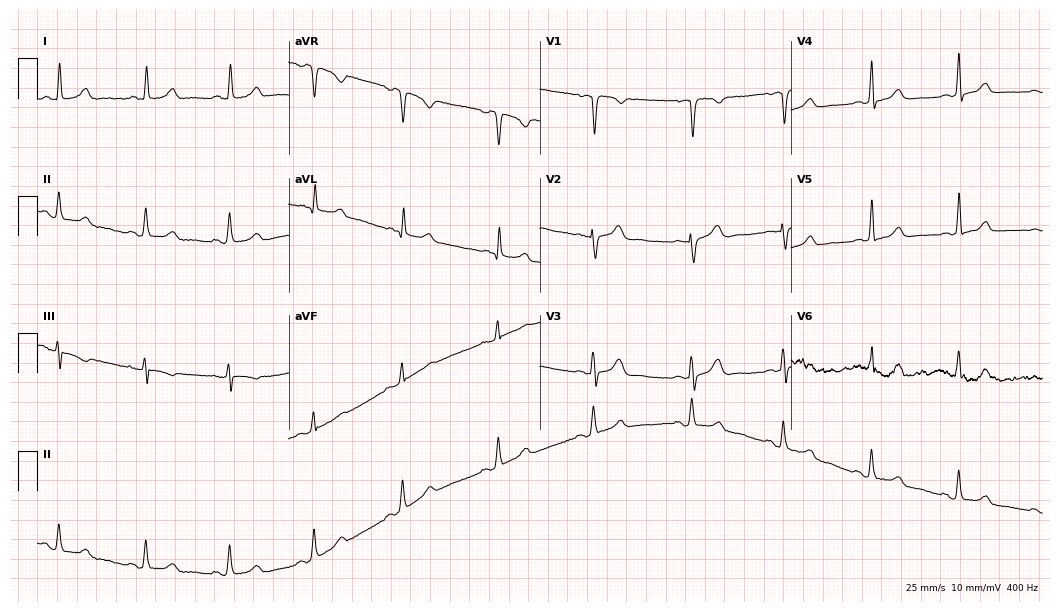
ECG (10.2-second recording at 400 Hz) — a 24-year-old female patient. Labelled as a normal ECG.